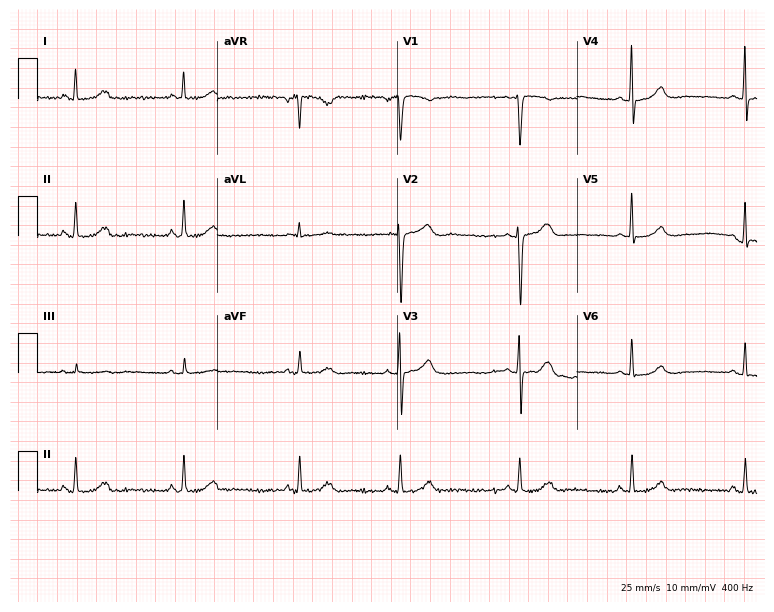
ECG (7.3-second recording at 400 Hz) — a female, 22 years old. Screened for six findings — first-degree AV block, right bundle branch block, left bundle branch block, sinus bradycardia, atrial fibrillation, sinus tachycardia — none is recorded. Only these six findings were labelled.